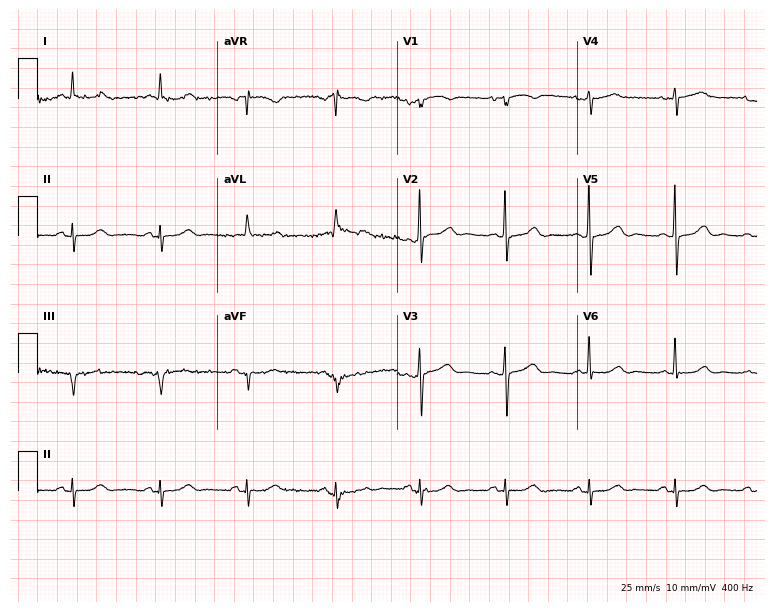
ECG (7.3-second recording at 400 Hz) — a 75-year-old female. Screened for six findings — first-degree AV block, right bundle branch block, left bundle branch block, sinus bradycardia, atrial fibrillation, sinus tachycardia — none is recorded. Findings outside these six are not listed.